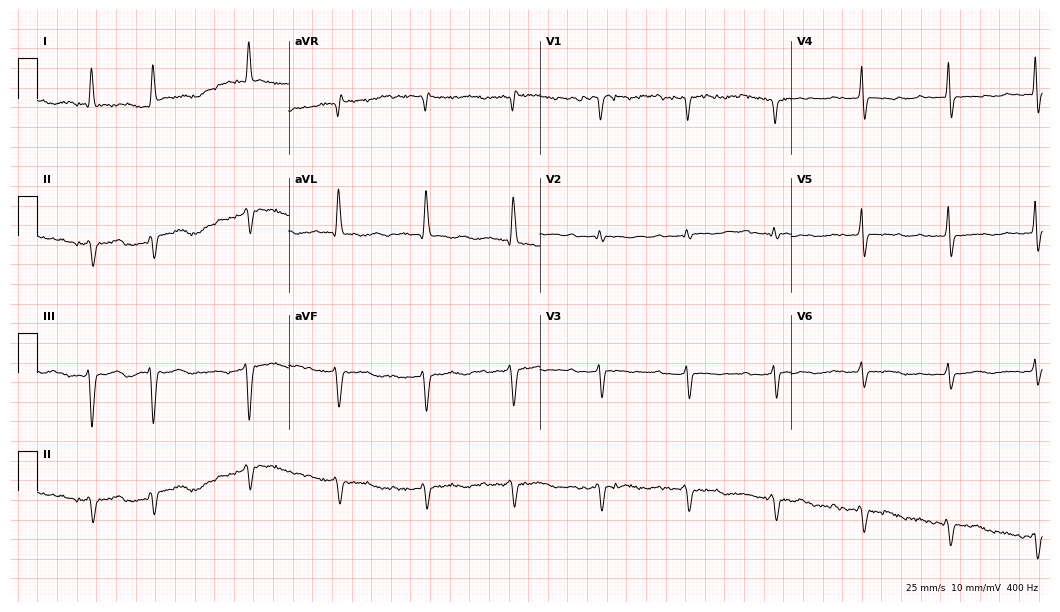
12-lead ECG from a female, 83 years old. No first-degree AV block, right bundle branch block (RBBB), left bundle branch block (LBBB), sinus bradycardia, atrial fibrillation (AF) or sinus tachycardia recorded for this tracing.